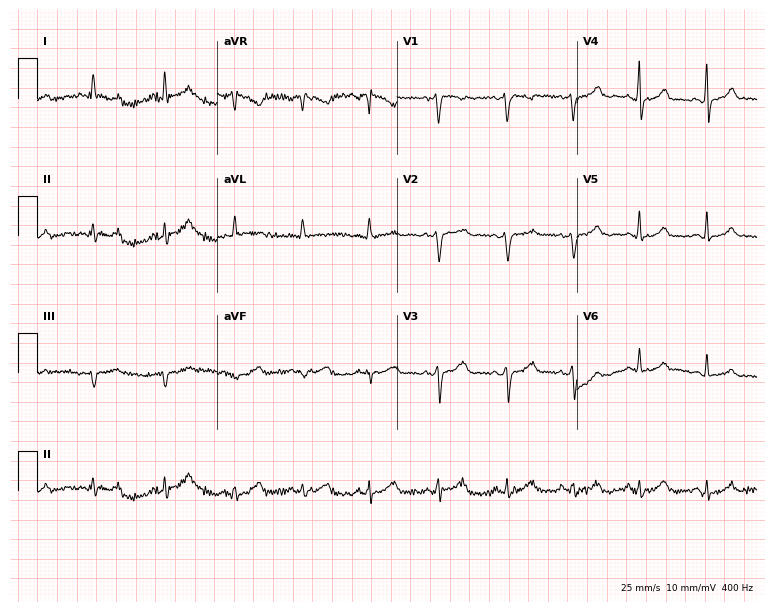
ECG — a female, 53 years old. Screened for six findings — first-degree AV block, right bundle branch block, left bundle branch block, sinus bradycardia, atrial fibrillation, sinus tachycardia — none is recorded.